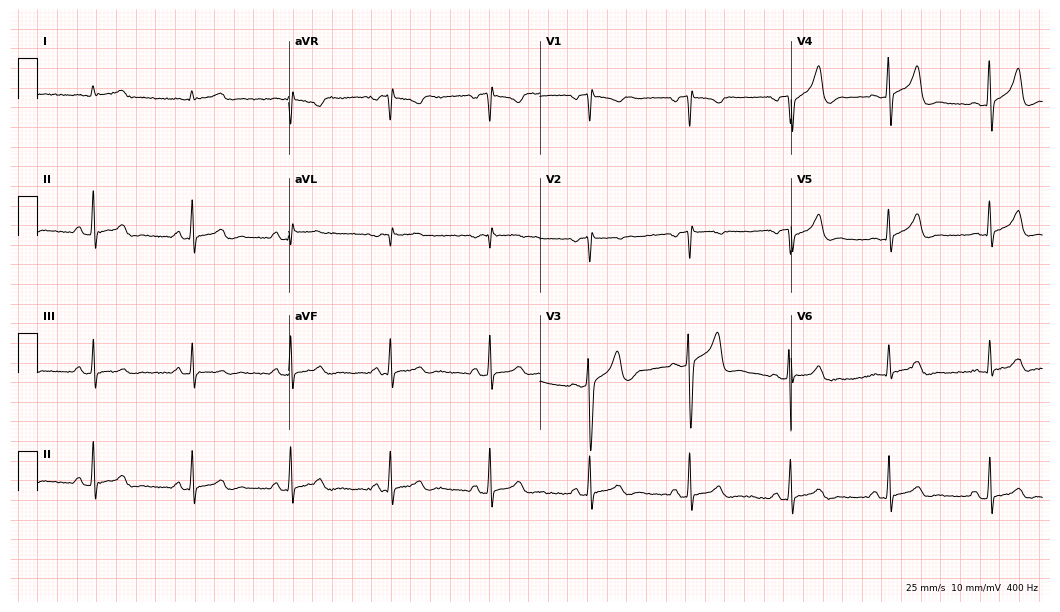
Electrocardiogram, a man, 70 years old. Of the six screened findings (first-degree AV block, right bundle branch block, left bundle branch block, sinus bradycardia, atrial fibrillation, sinus tachycardia), none is recorded. Only these six findings were labelled.